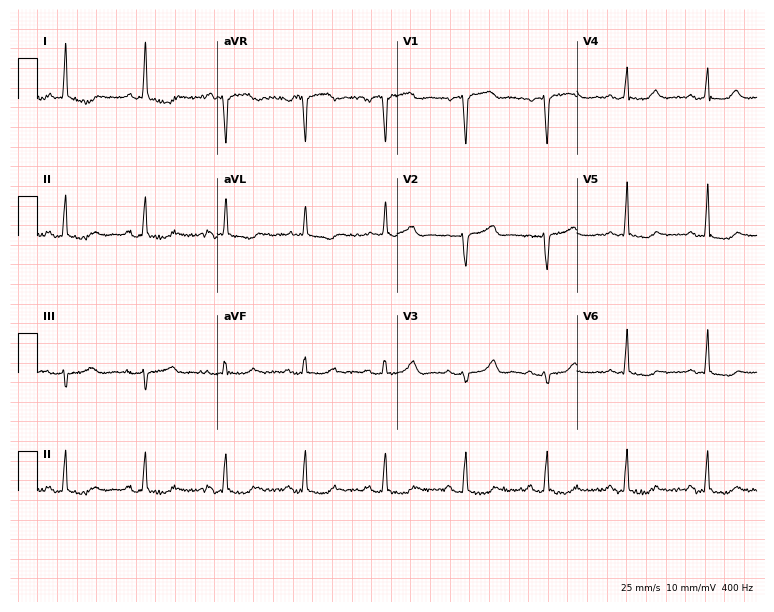
ECG — a 69-year-old female. Labelled as a normal ECG.